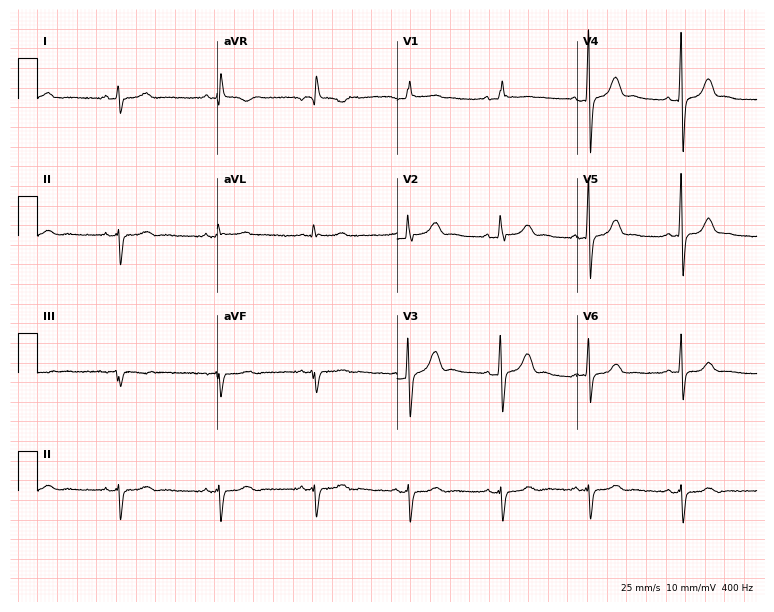
ECG — a 34-year-old woman. Screened for six findings — first-degree AV block, right bundle branch block (RBBB), left bundle branch block (LBBB), sinus bradycardia, atrial fibrillation (AF), sinus tachycardia — none is recorded. Other findings, if any, are not listed.